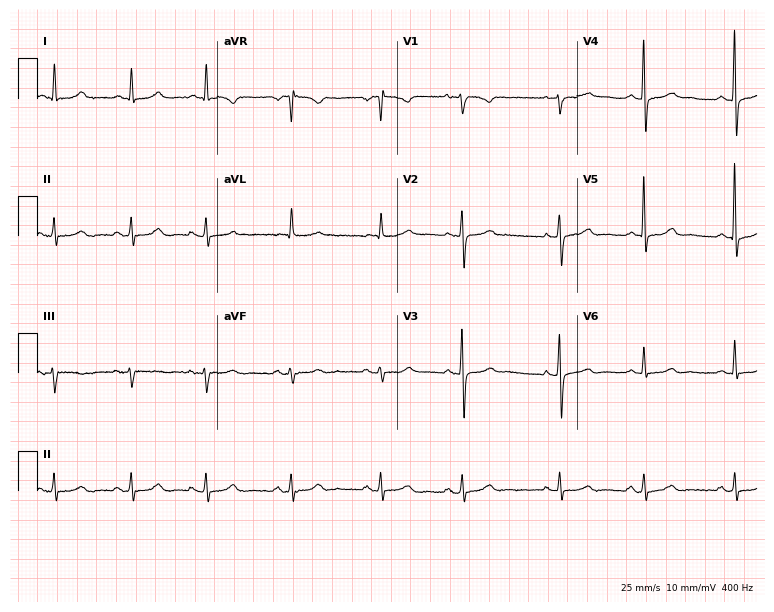
12-lead ECG from a 70-year-old female patient (7.3-second recording at 400 Hz). Recorded interpretation: within normal limits.